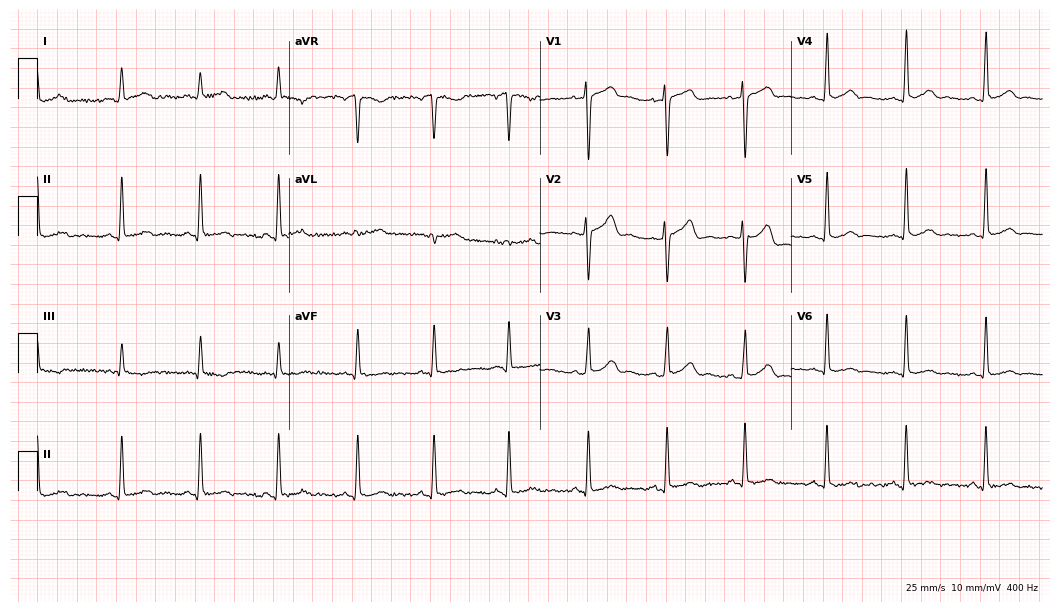
ECG (10.2-second recording at 400 Hz) — a woman, 25 years old. Screened for six findings — first-degree AV block, right bundle branch block, left bundle branch block, sinus bradycardia, atrial fibrillation, sinus tachycardia — none is recorded.